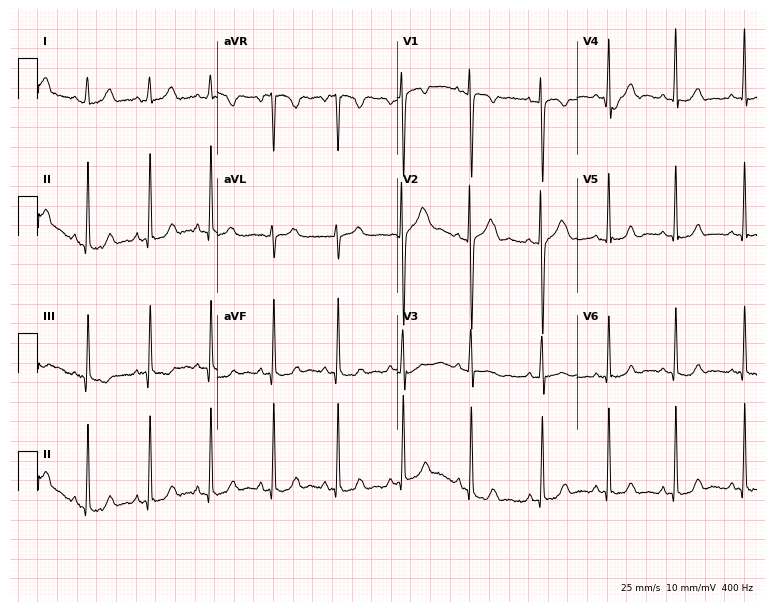
12-lead ECG (7.3-second recording at 400 Hz) from a female, 17 years old. Labelled as a normal ECG.